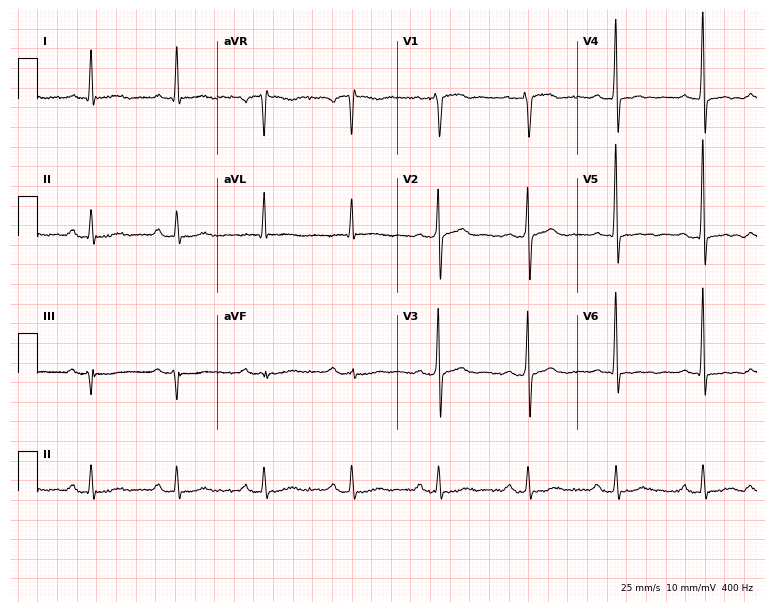
12-lead ECG from a 64-year-old man. Screened for six findings — first-degree AV block, right bundle branch block, left bundle branch block, sinus bradycardia, atrial fibrillation, sinus tachycardia — none is recorded.